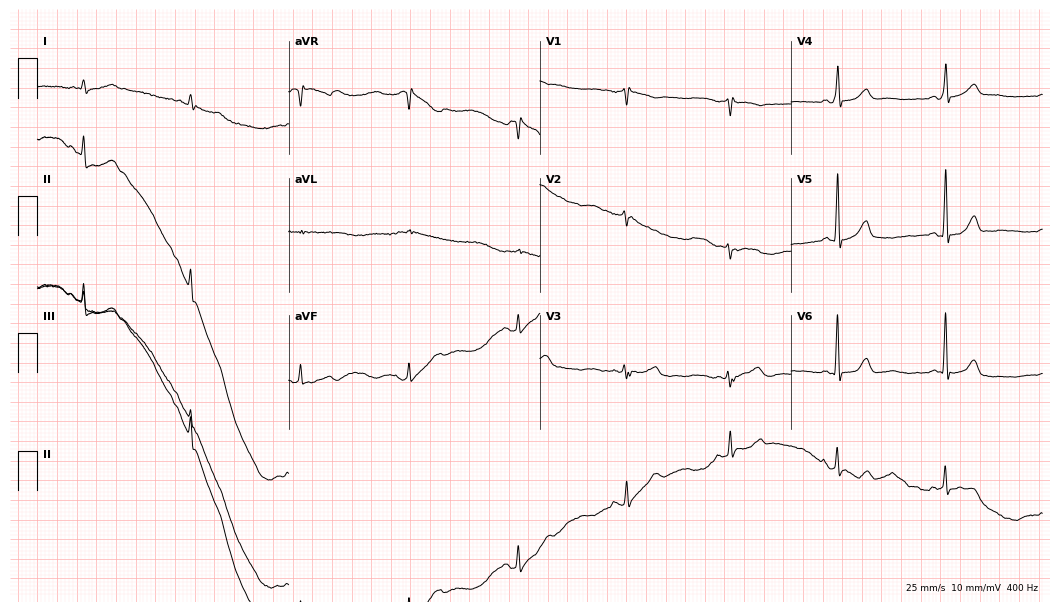
Standard 12-lead ECG recorded from a 72-year-old female (10.2-second recording at 400 Hz). None of these six findings is recorded: first-degree AV block, right bundle branch block (RBBB), left bundle branch block (LBBB), sinus bradycardia, atrial fibrillation (AF), sinus tachycardia.